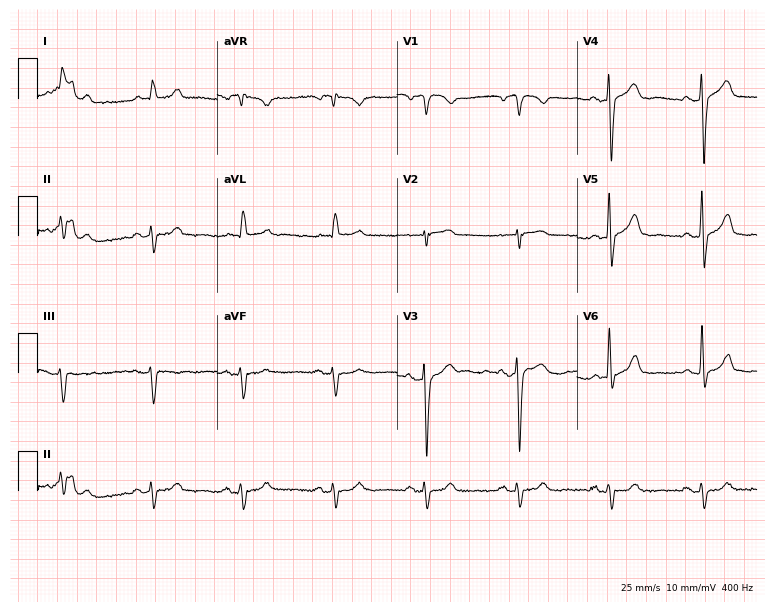
Resting 12-lead electrocardiogram. Patient: a man, 73 years old. None of these six findings is recorded: first-degree AV block, right bundle branch block (RBBB), left bundle branch block (LBBB), sinus bradycardia, atrial fibrillation (AF), sinus tachycardia.